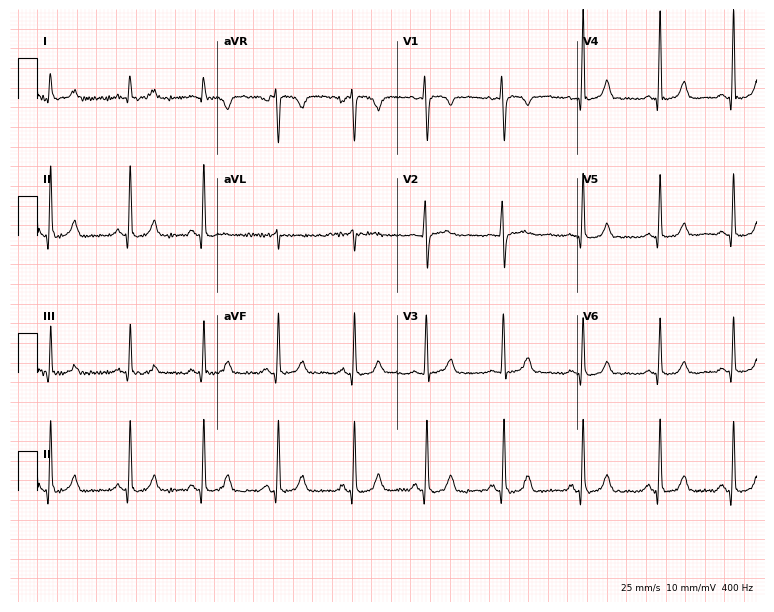
12-lead ECG from a 36-year-old female patient (7.3-second recording at 400 Hz). No first-degree AV block, right bundle branch block (RBBB), left bundle branch block (LBBB), sinus bradycardia, atrial fibrillation (AF) or sinus tachycardia recorded for this tracing.